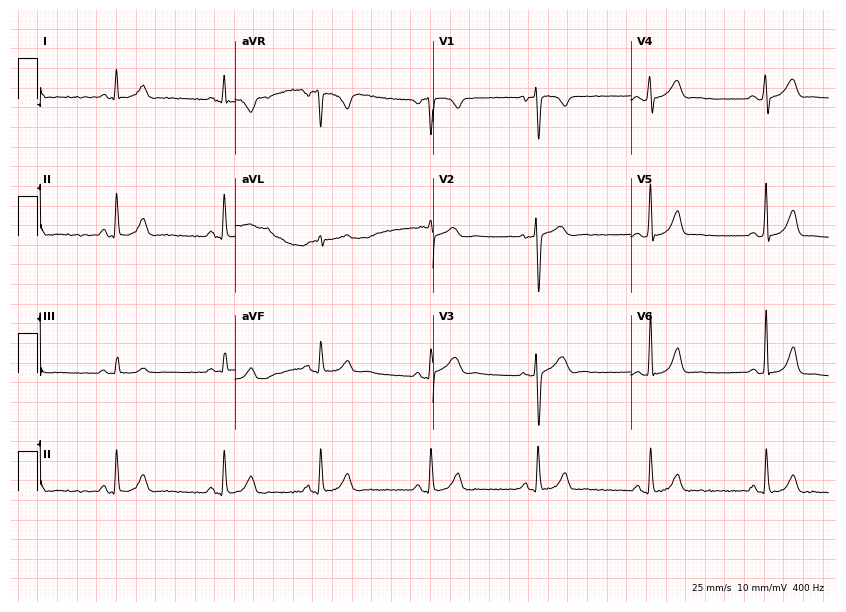
Resting 12-lead electrocardiogram. Patient: a woman, 22 years old. Read as a normal ECG.